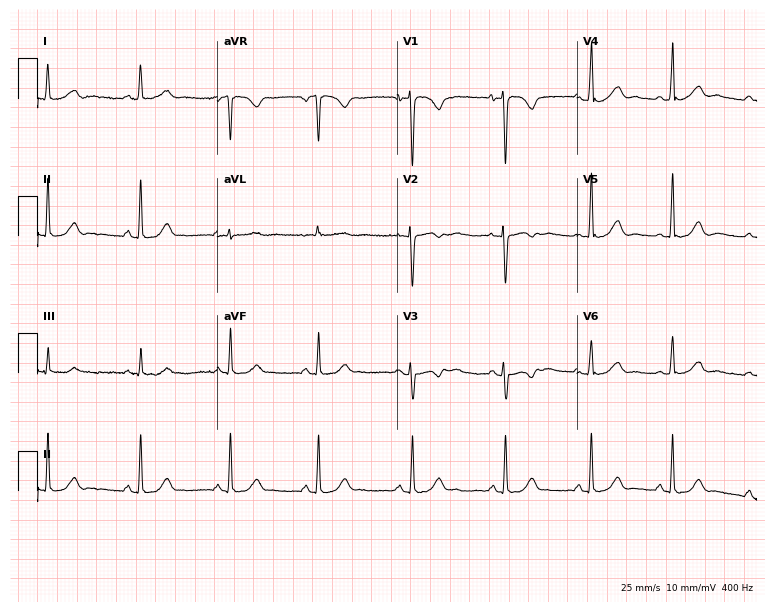
12-lead ECG from a female, 17 years old. Labelled as a normal ECG.